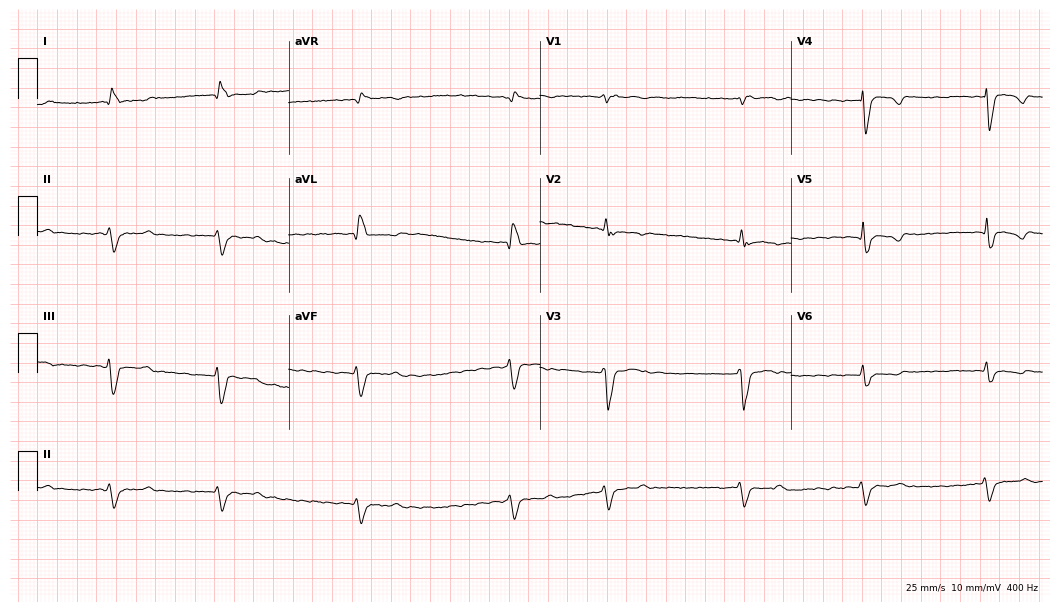
Standard 12-lead ECG recorded from a male, 77 years old. The tracing shows left bundle branch block, atrial fibrillation.